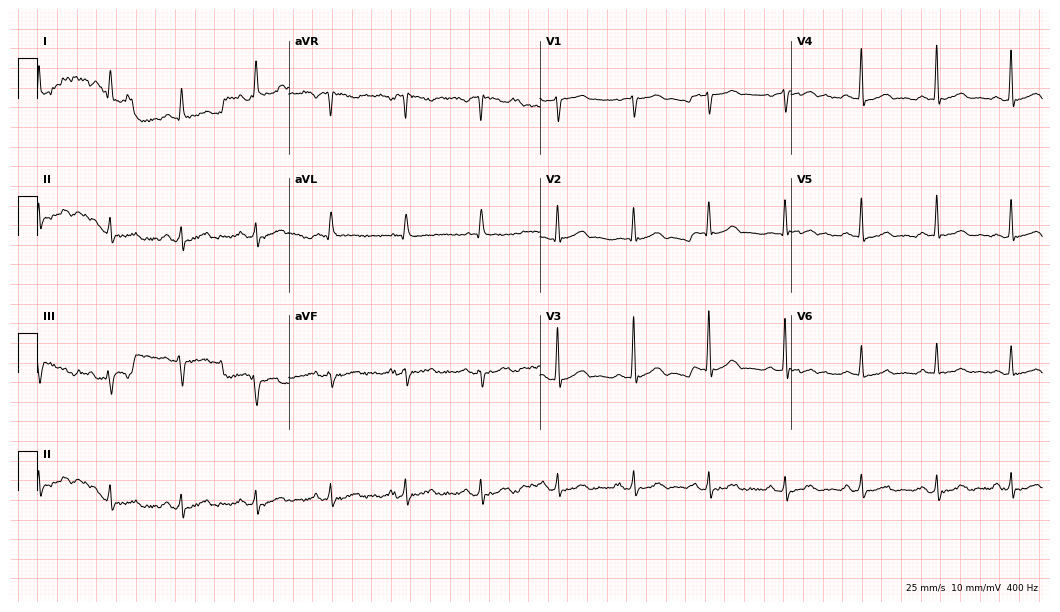
Electrocardiogram, a 67-year-old male patient. Of the six screened findings (first-degree AV block, right bundle branch block (RBBB), left bundle branch block (LBBB), sinus bradycardia, atrial fibrillation (AF), sinus tachycardia), none is recorded. Other findings, if any, are not listed.